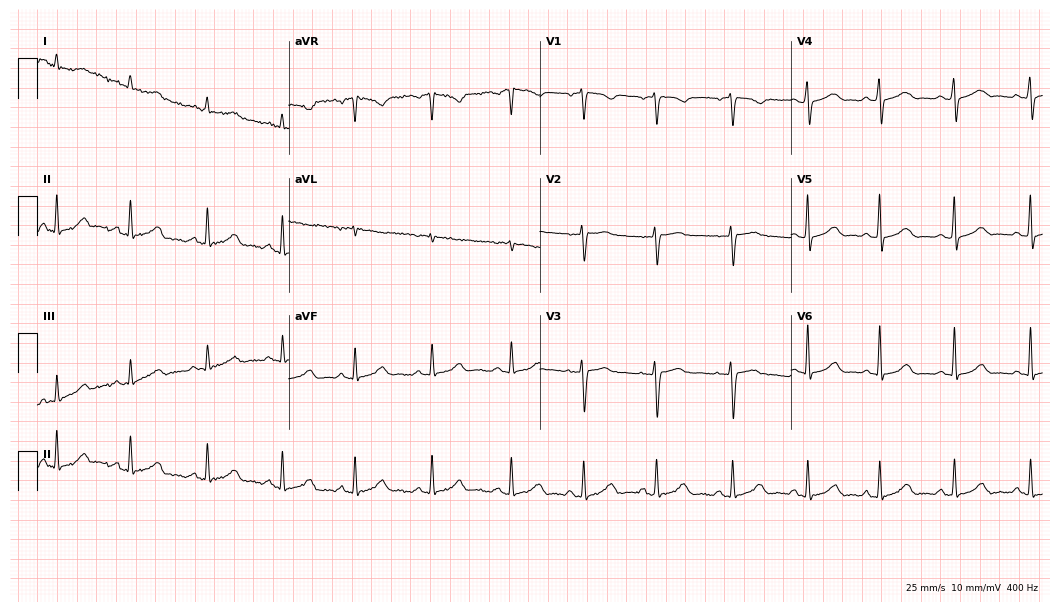
12-lead ECG from a 45-year-old female. Recorded interpretation: within normal limits.